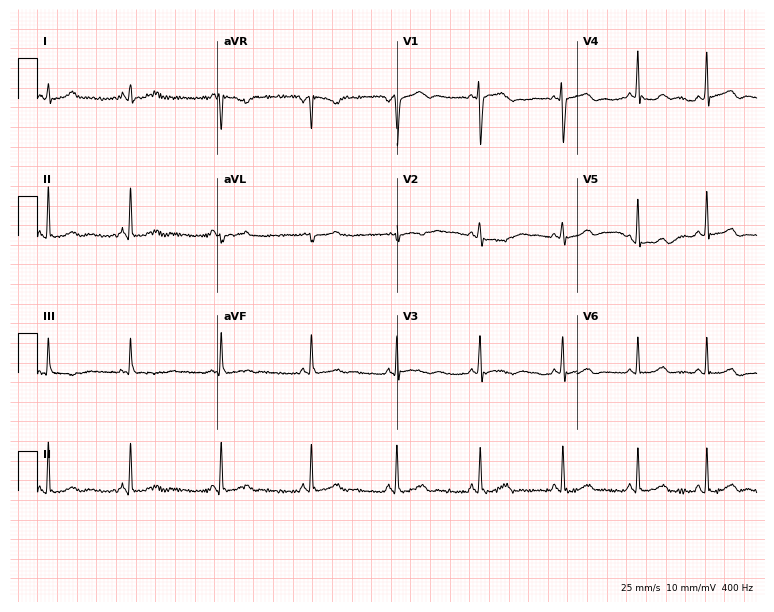
Electrocardiogram (7.3-second recording at 400 Hz), a 23-year-old female patient. Of the six screened findings (first-degree AV block, right bundle branch block, left bundle branch block, sinus bradycardia, atrial fibrillation, sinus tachycardia), none is recorded. Only these six findings were labelled.